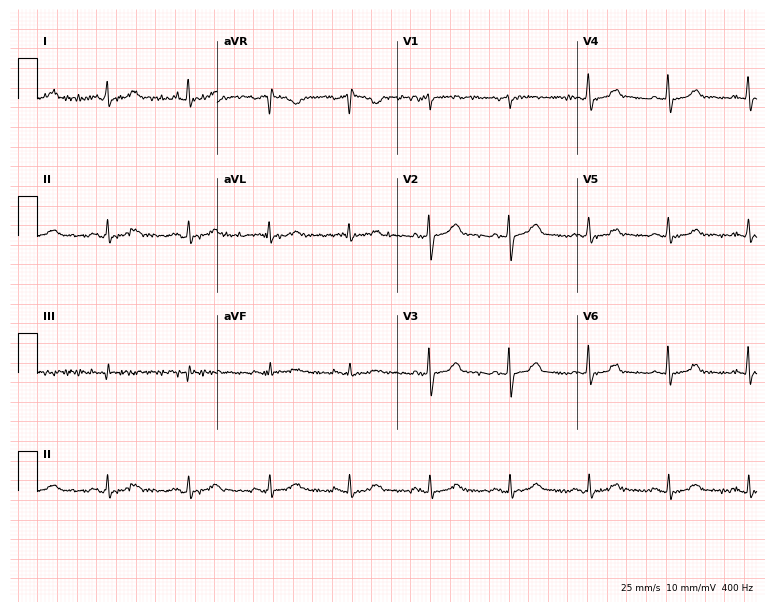
12-lead ECG from a woman, 59 years old. Screened for six findings — first-degree AV block, right bundle branch block, left bundle branch block, sinus bradycardia, atrial fibrillation, sinus tachycardia — none is recorded. Other findings, if any, are not listed.